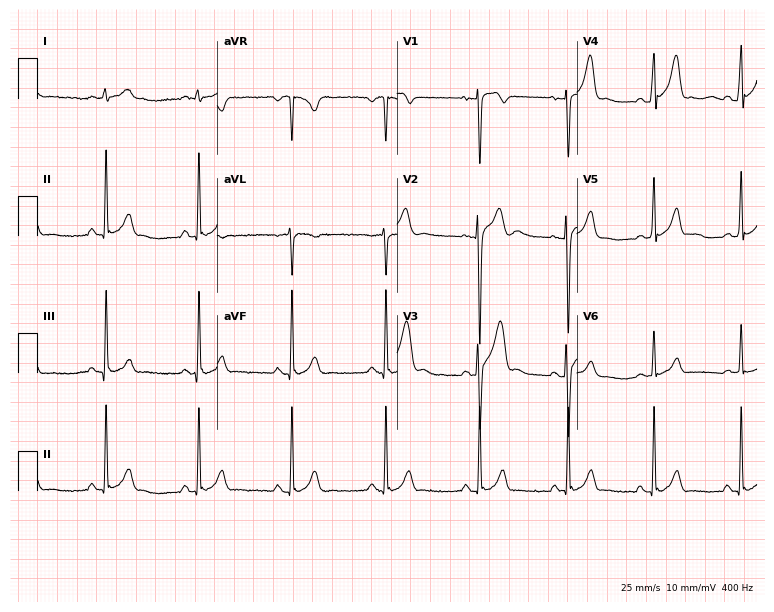
12-lead ECG from a 44-year-old man (7.3-second recording at 400 Hz). Recorded interpretation: within normal limits.